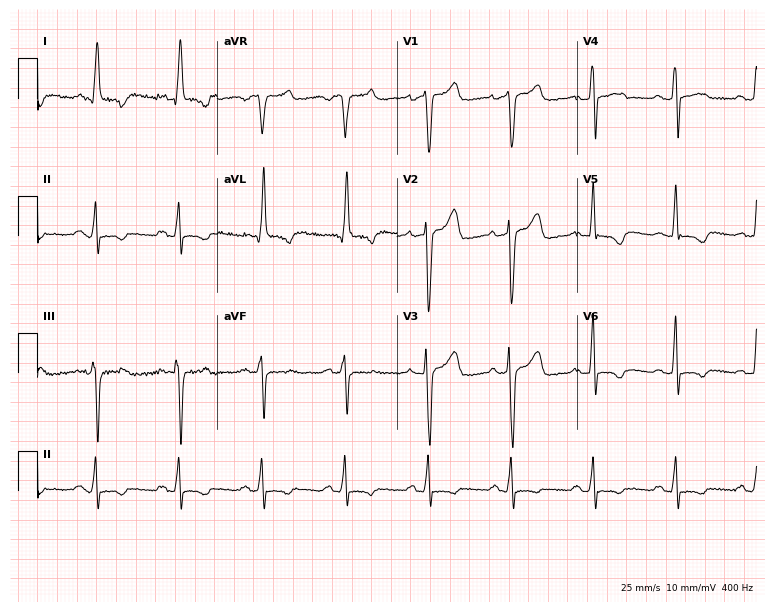
ECG — a 39-year-old male. Screened for six findings — first-degree AV block, right bundle branch block, left bundle branch block, sinus bradycardia, atrial fibrillation, sinus tachycardia — none is recorded.